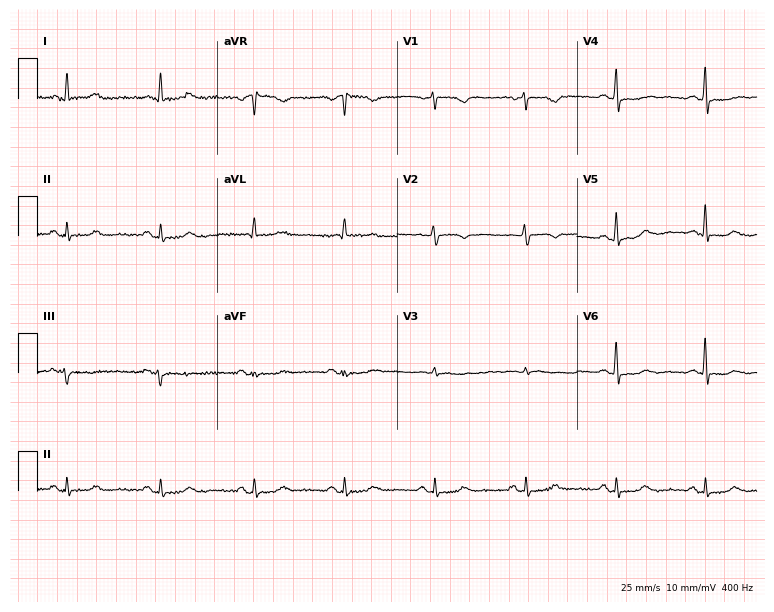
Electrocardiogram, a female patient, 58 years old. Of the six screened findings (first-degree AV block, right bundle branch block (RBBB), left bundle branch block (LBBB), sinus bradycardia, atrial fibrillation (AF), sinus tachycardia), none is recorded.